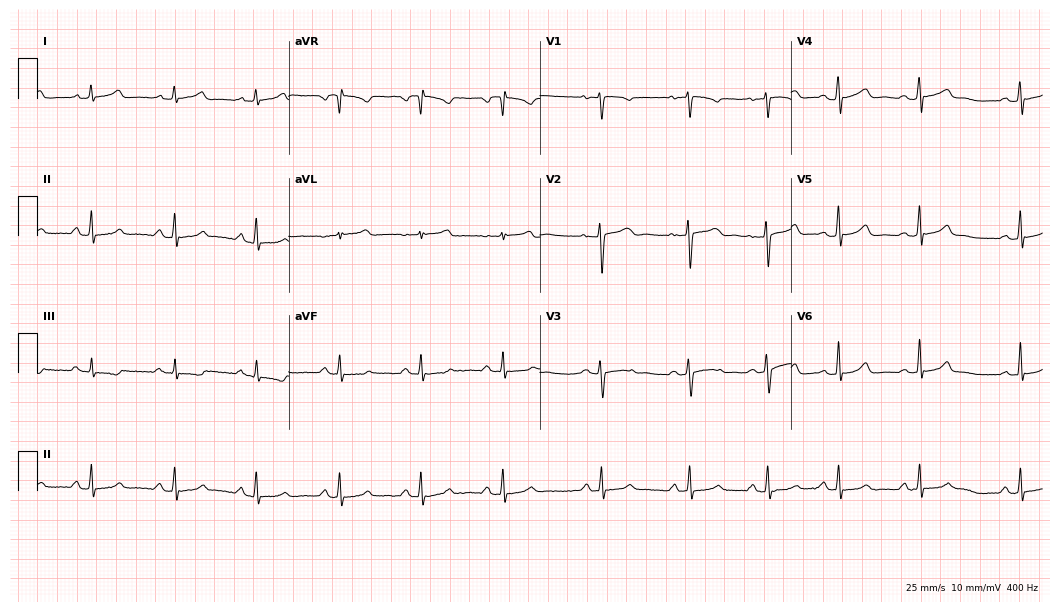
12-lead ECG (10.2-second recording at 400 Hz) from a 20-year-old female patient. Labelled as a normal ECG.